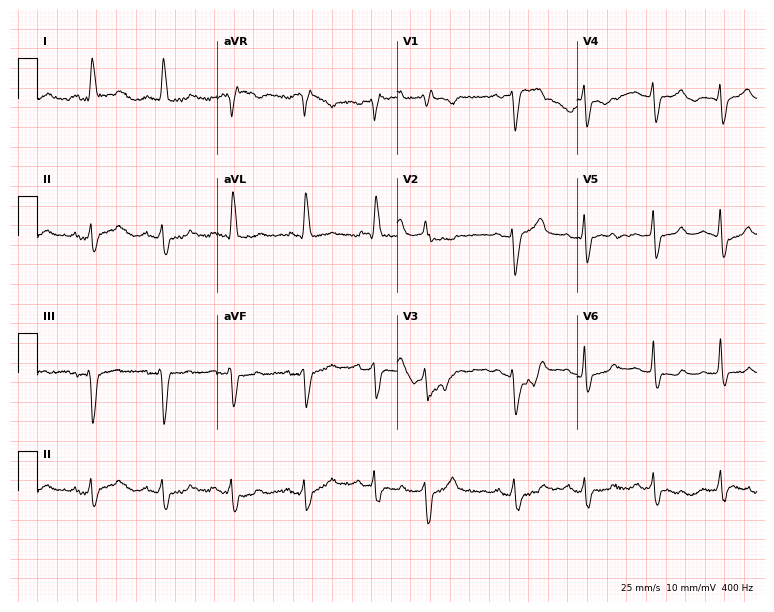
ECG — a male patient, 77 years old. Screened for six findings — first-degree AV block, right bundle branch block, left bundle branch block, sinus bradycardia, atrial fibrillation, sinus tachycardia — none is recorded.